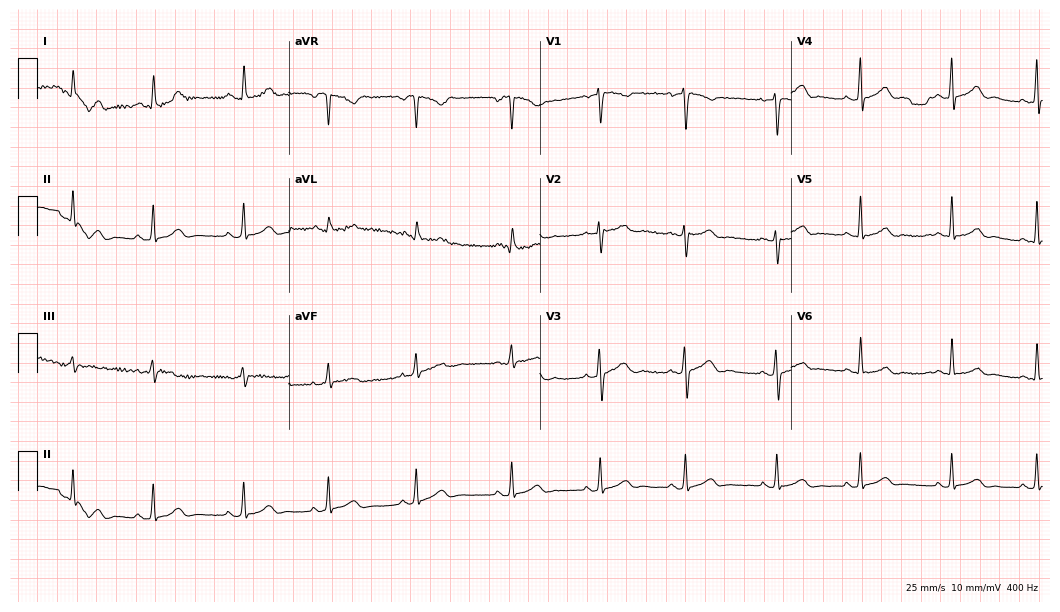
Electrocardiogram (10.2-second recording at 400 Hz), a 23-year-old female. Overall reading on record: normal ECG.